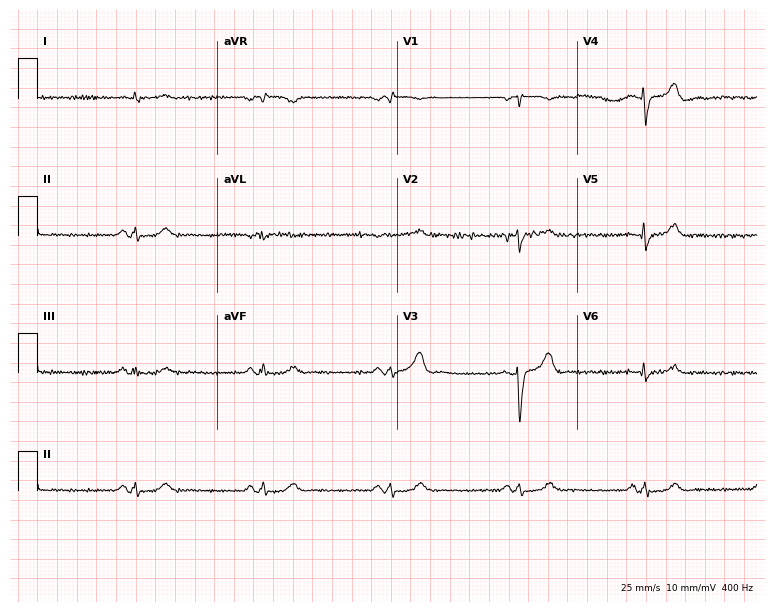
12-lead ECG from a 74-year-old male patient (7.3-second recording at 400 Hz). No first-degree AV block, right bundle branch block (RBBB), left bundle branch block (LBBB), sinus bradycardia, atrial fibrillation (AF) or sinus tachycardia recorded for this tracing.